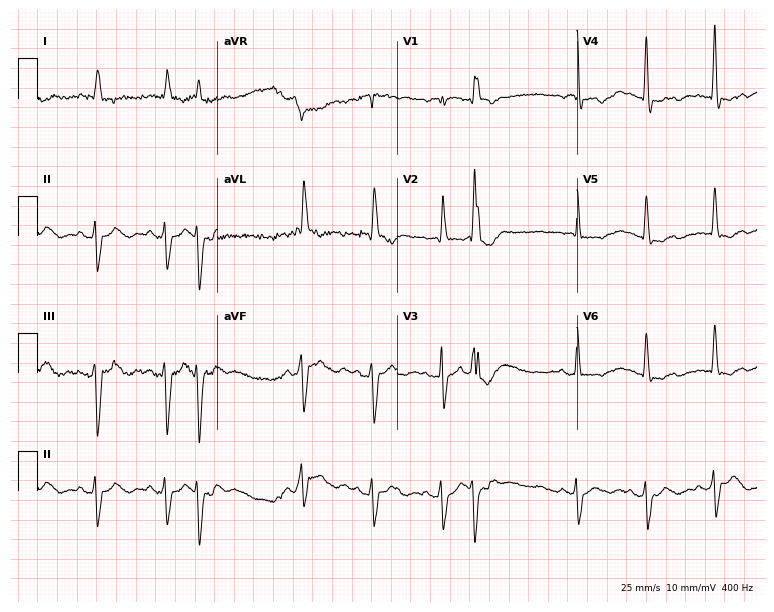
Electrocardiogram, a 78-year-old female patient. Of the six screened findings (first-degree AV block, right bundle branch block, left bundle branch block, sinus bradycardia, atrial fibrillation, sinus tachycardia), none is recorded. Only these six findings were labelled.